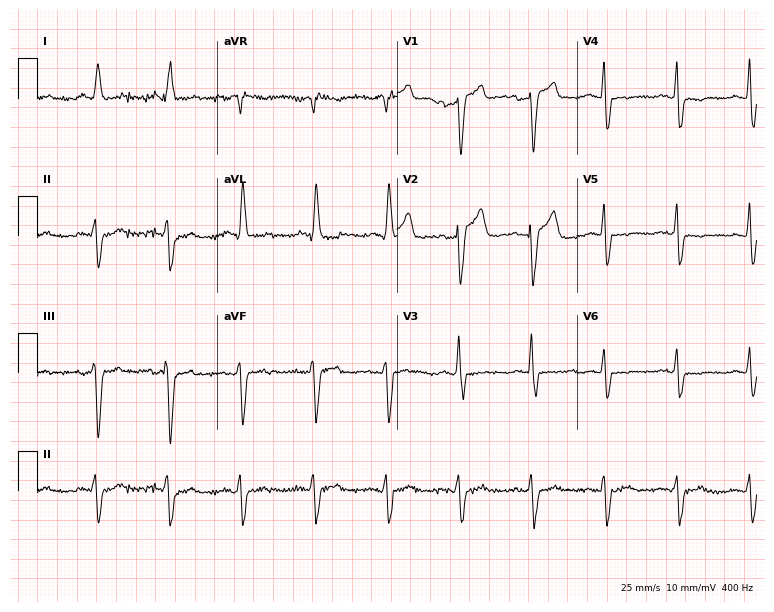
12-lead ECG (7.3-second recording at 400 Hz) from a 62-year-old male patient. Screened for six findings — first-degree AV block, right bundle branch block (RBBB), left bundle branch block (LBBB), sinus bradycardia, atrial fibrillation (AF), sinus tachycardia — none is recorded.